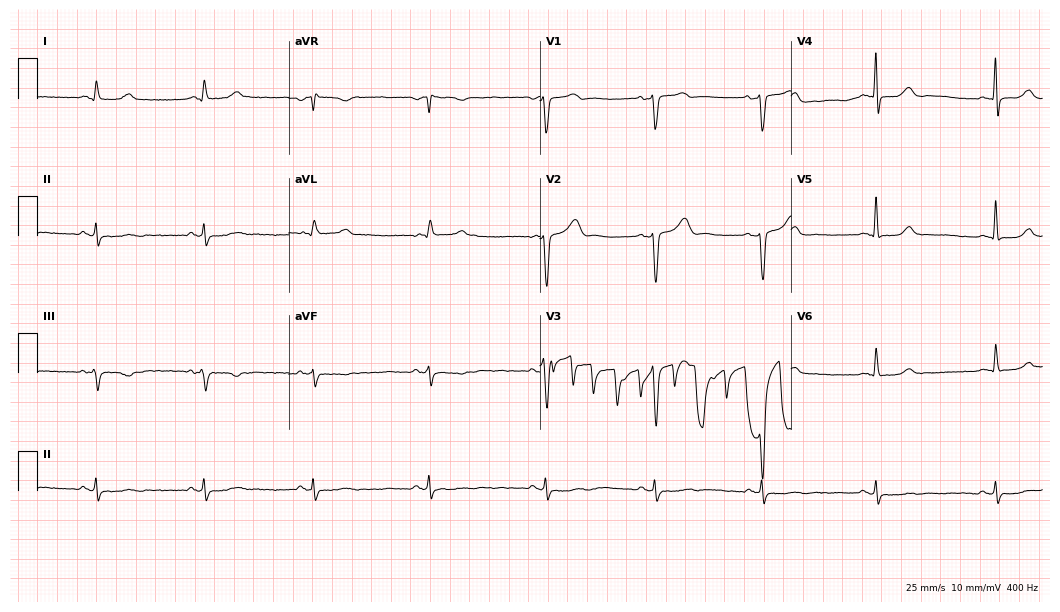
Resting 12-lead electrocardiogram. Patient: a man, 44 years old. None of these six findings is recorded: first-degree AV block, right bundle branch block, left bundle branch block, sinus bradycardia, atrial fibrillation, sinus tachycardia. Findings outside these six are not listed.